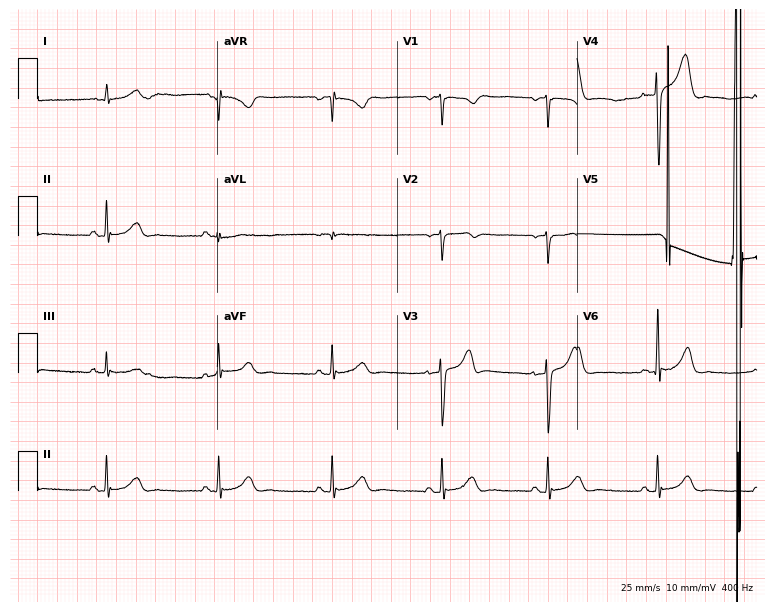
Standard 12-lead ECG recorded from a 40-year-old female patient. None of these six findings is recorded: first-degree AV block, right bundle branch block (RBBB), left bundle branch block (LBBB), sinus bradycardia, atrial fibrillation (AF), sinus tachycardia. Findings outside these six are not listed.